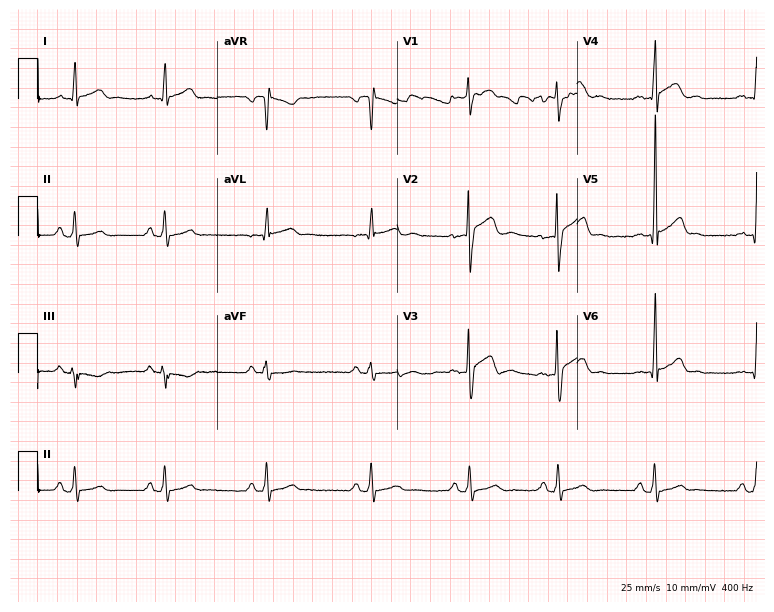
Resting 12-lead electrocardiogram. Patient: a 26-year-old male. None of these six findings is recorded: first-degree AV block, right bundle branch block, left bundle branch block, sinus bradycardia, atrial fibrillation, sinus tachycardia.